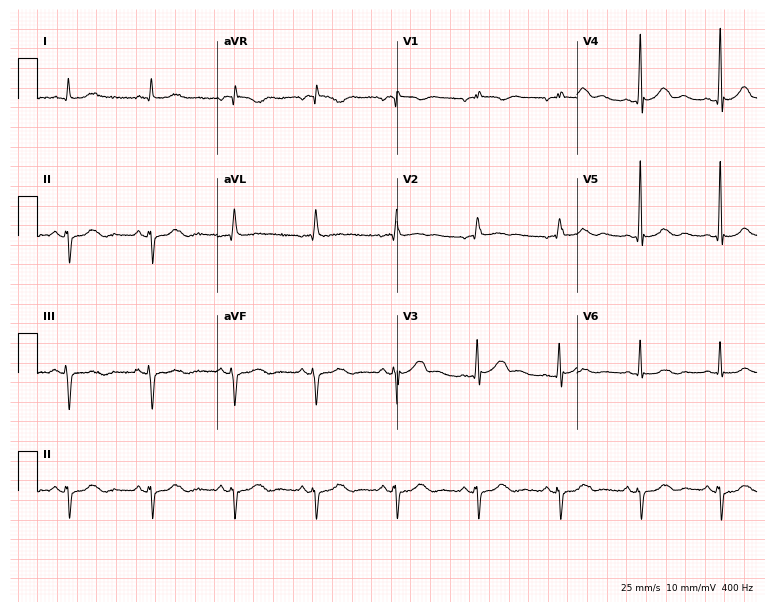
ECG — a 72-year-old man. Screened for six findings — first-degree AV block, right bundle branch block (RBBB), left bundle branch block (LBBB), sinus bradycardia, atrial fibrillation (AF), sinus tachycardia — none is recorded.